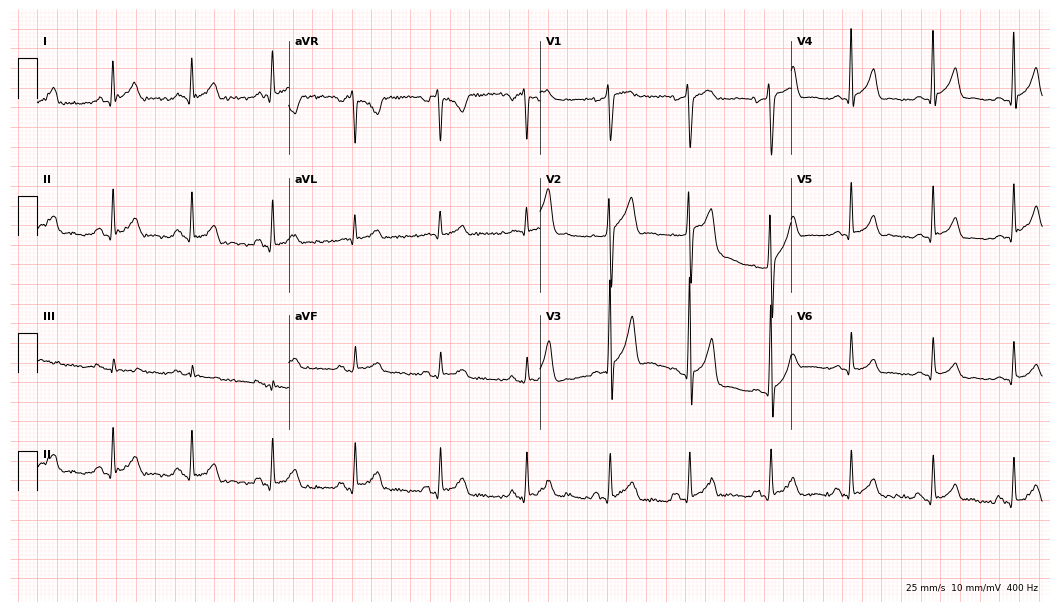
12-lead ECG (10.2-second recording at 400 Hz) from a male, 45 years old. Labelled as a normal ECG.